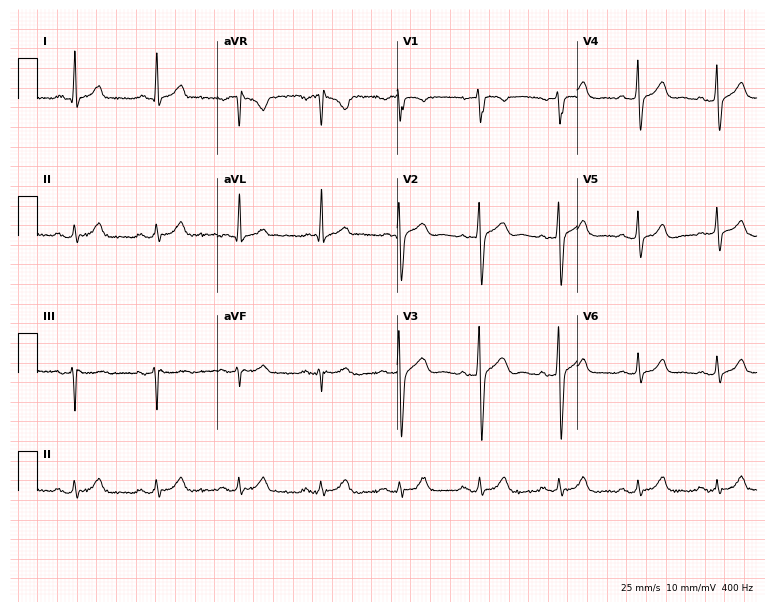
Electrocardiogram, a male patient, 31 years old. Overall reading on record: normal ECG.